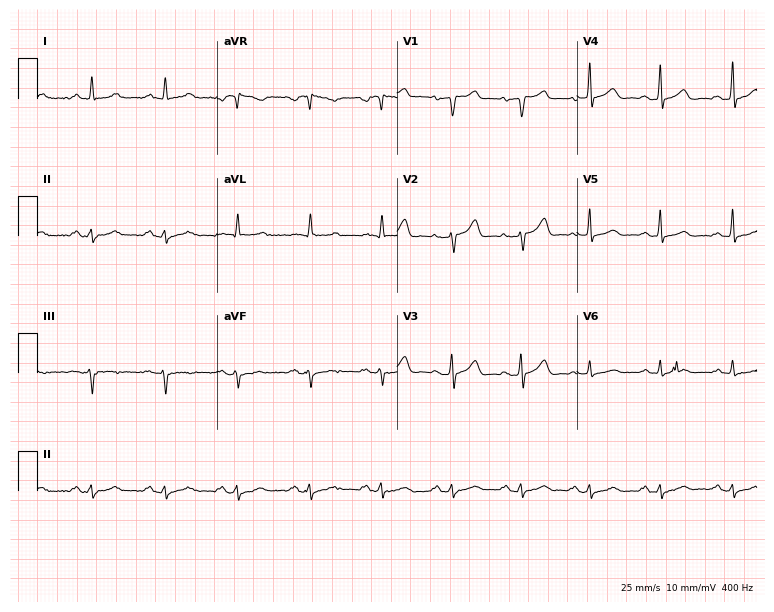
Resting 12-lead electrocardiogram (7.3-second recording at 400 Hz). Patient: a 68-year-old male. None of these six findings is recorded: first-degree AV block, right bundle branch block, left bundle branch block, sinus bradycardia, atrial fibrillation, sinus tachycardia. Findings outside these six are not listed.